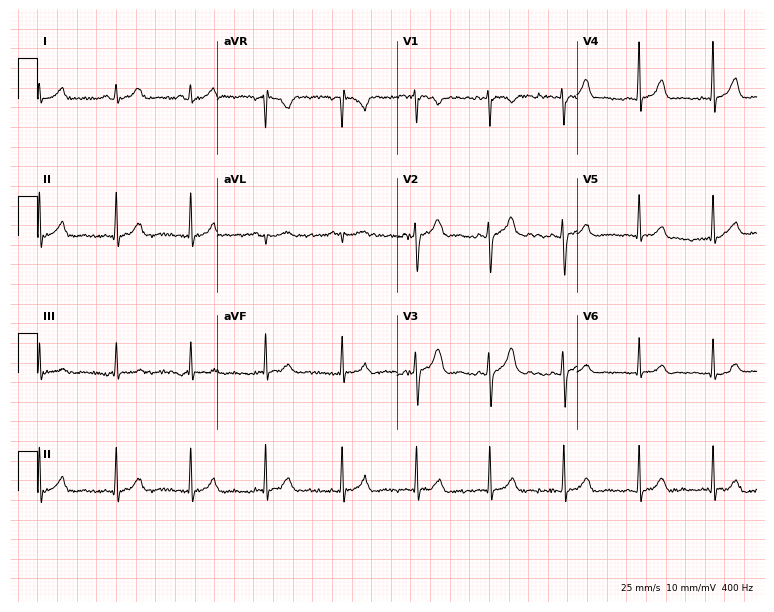
12-lead ECG (7.3-second recording at 400 Hz) from a female patient, 24 years old. Screened for six findings — first-degree AV block, right bundle branch block, left bundle branch block, sinus bradycardia, atrial fibrillation, sinus tachycardia — none is recorded. Only these six findings were labelled.